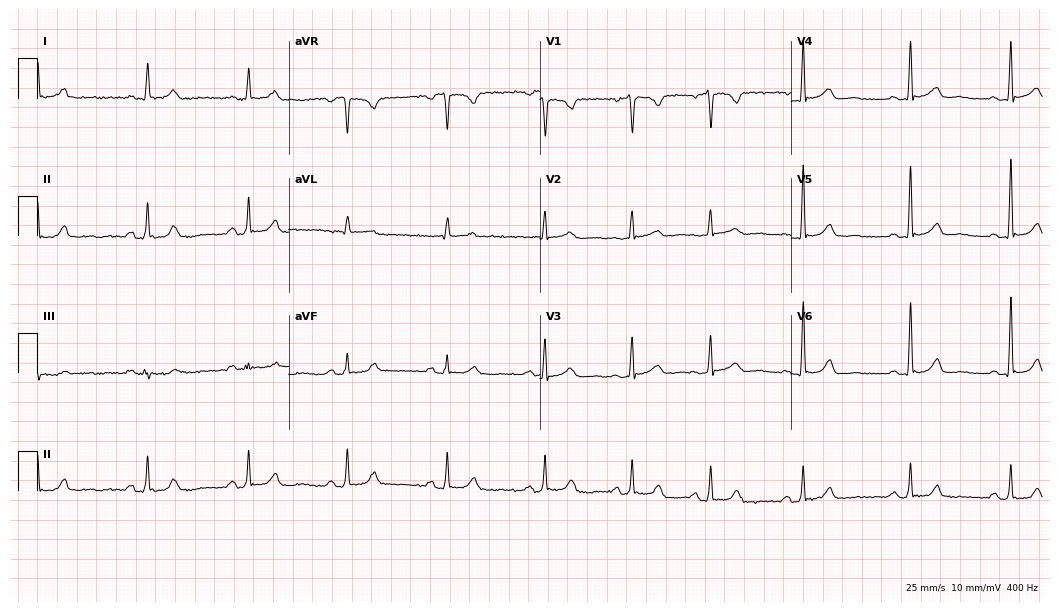
Standard 12-lead ECG recorded from a 35-year-old female patient. Read as a normal ECG.